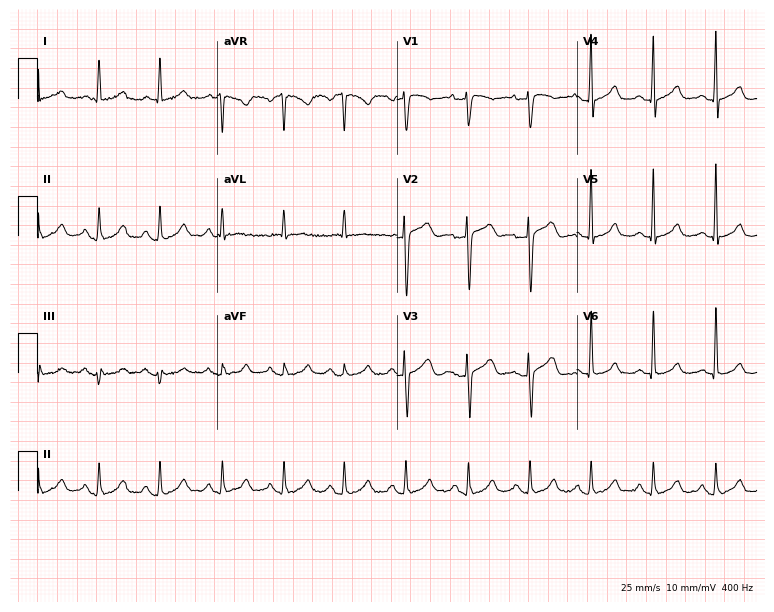
ECG (7.3-second recording at 400 Hz) — a 72-year-old female. Screened for six findings — first-degree AV block, right bundle branch block, left bundle branch block, sinus bradycardia, atrial fibrillation, sinus tachycardia — none is recorded.